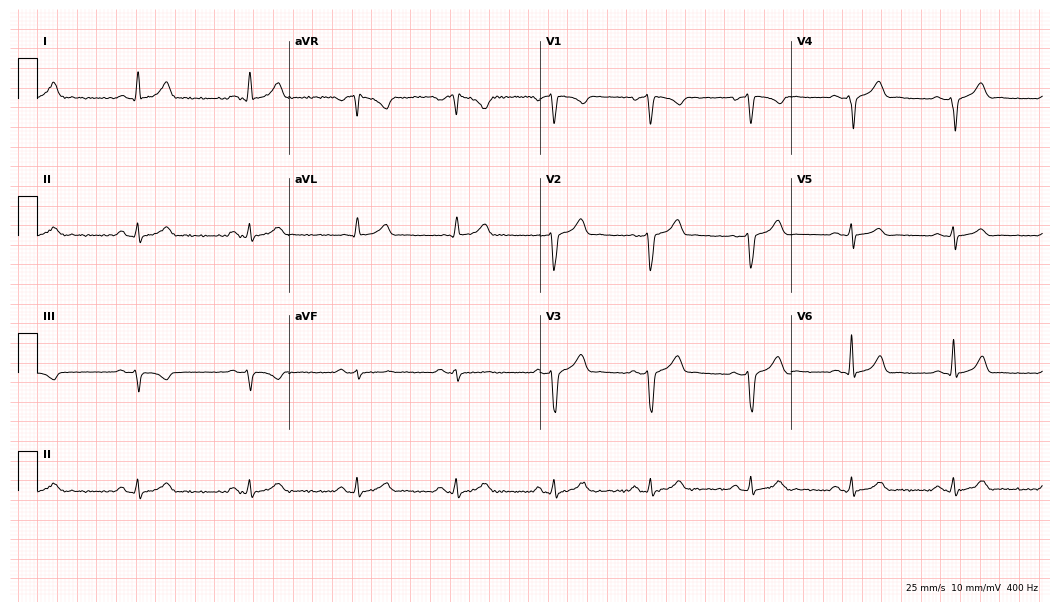
Standard 12-lead ECG recorded from a 41-year-old male (10.2-second recording at 400 Hz). None of these six findings is recorded: first-degree AV block, right bundle branch block, left bundle branch block, sinus bradycardia, atrial fibrillation, sinus tachycardia. Only these six findings were labelled.